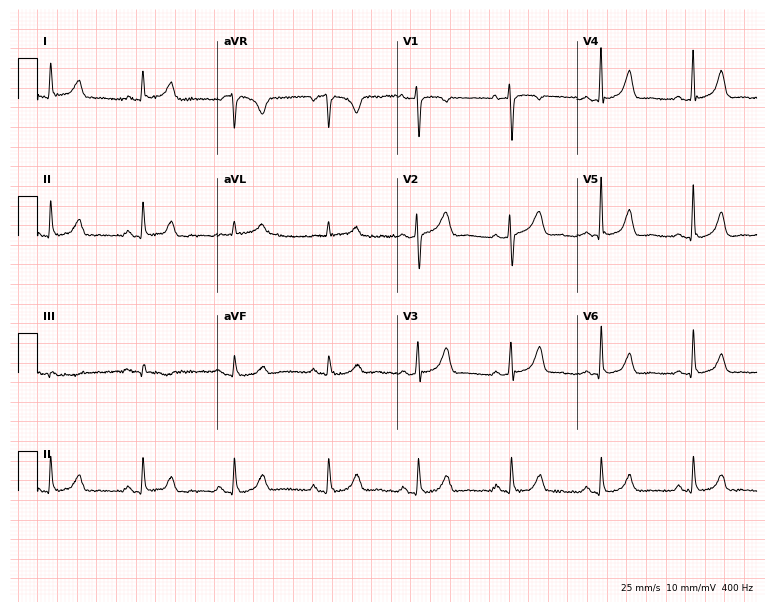
Standard 12-lead ECG recorded from a 45-year-old female patient. None of these six findings is recorded: first-degree AV block, right bundle branch block, left bundle branch block, sinus bradycardia, atrial fibrillation, sinus tachycardia.